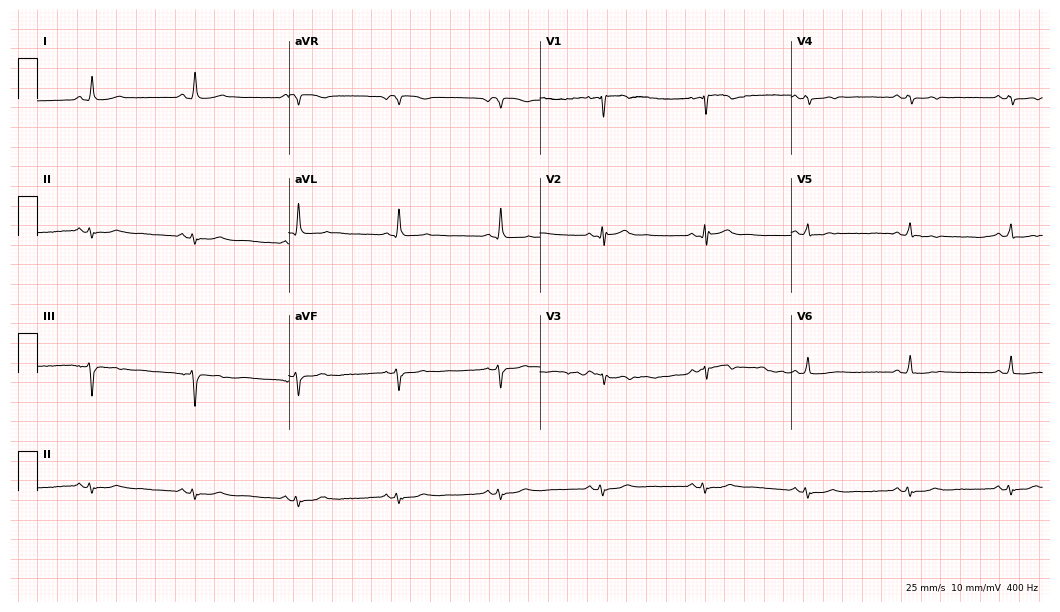
Standard 12-lead ECG recorded from an 80-year-old male. None of these six findings is recorded: first-degree AV block, right bundle branch block, left bundle branch block, sinus bradycardia, atrial fibrillation, sinus tachycardia. Only these six findings were labelled.